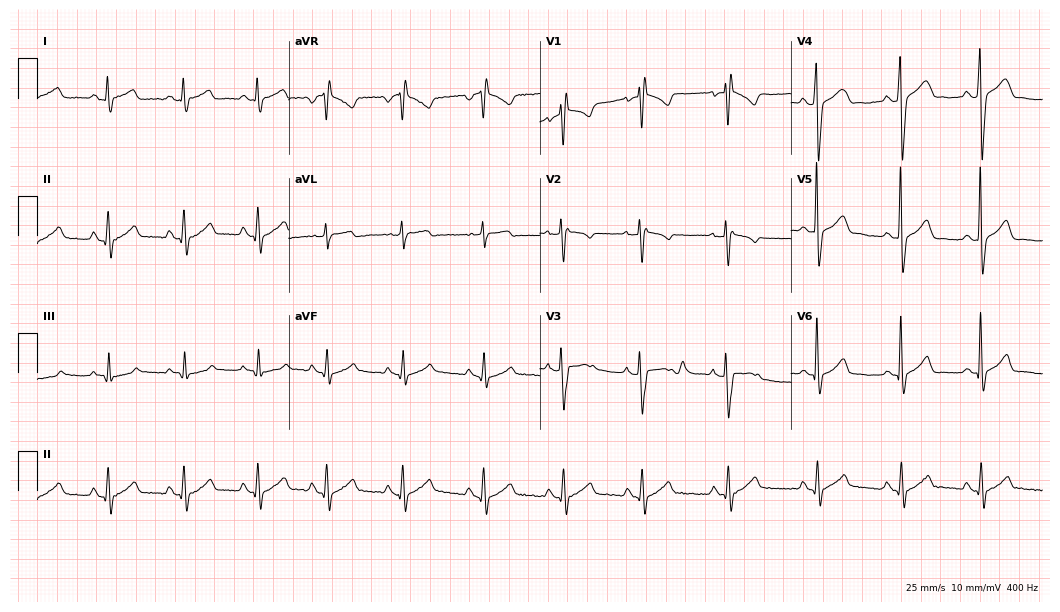
ECG — a 19-year-old male patient. Screened for six findings — first-degree AV block, right bundle branch block, left bundle branch block, sinus bradycardia, atrial fibrillation, sinus tachycardia — none is recorded. Other findings, if any, are not listed.